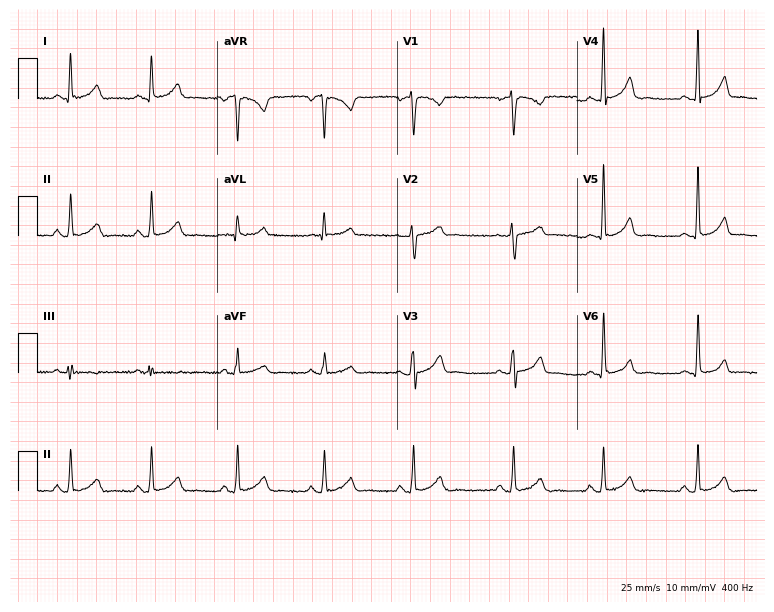
Electrocardiogram (7.3-second recording at 400 Hz), a 44-year-old woman. Of the six screened findings (first-degree AV block, right bundle branch block (RBBB), left bundle branch block (LBBB), sinus bradycardia, atrial fibrillation (AF), sinus tachycardia), none is recorded. Other findings, if any, are not listed.